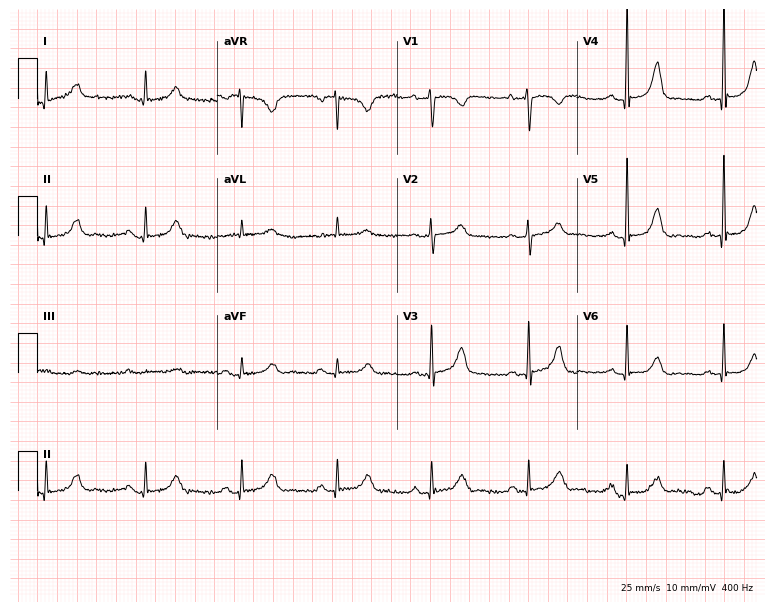
12-lead ECG from an 84-year-old female (7.3-second recording at 400 Hz). Recorded interpretation: within normal limits.